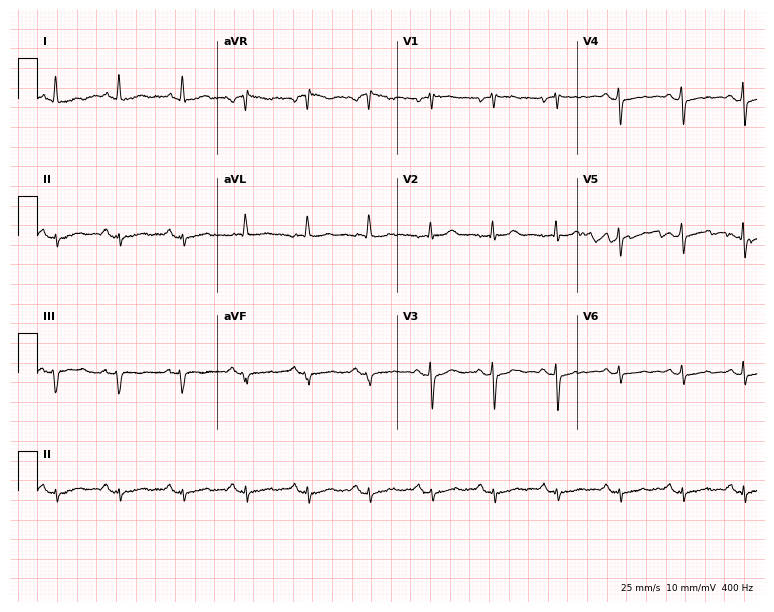
12-lead ECG (7.3-second recording at 400 Hz) from a female patient, 78 years old. Screened for six findings — first-degree AV block, right bundle branch block, left bundle branch block, sinus bradycardia, atrial fibrillation, sinus tachycardia — none is recorded.